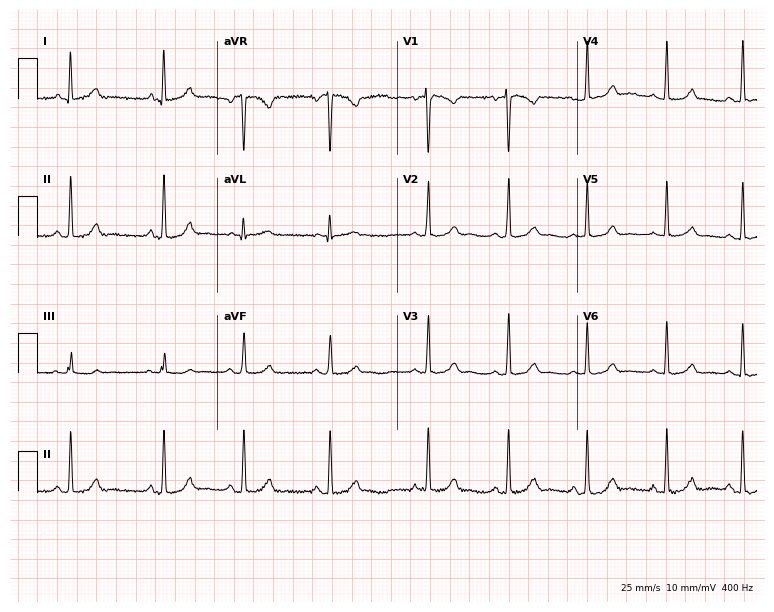
12-lead ECG from an 18-year-old female. Labelled as a normal ECG.